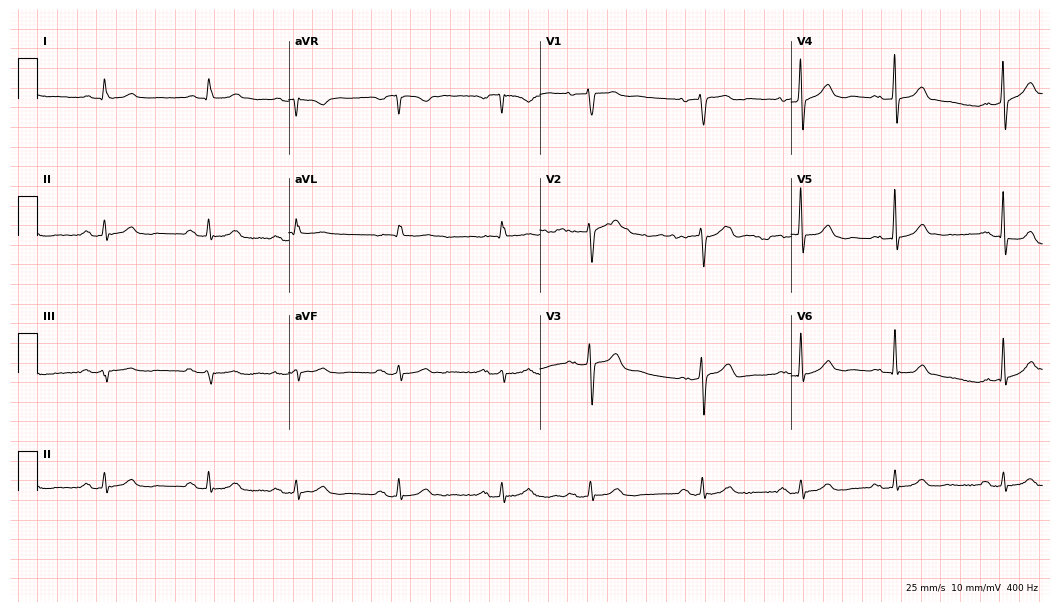
Resting 12-lead electrocardiogram. Patient: a male, 85 years old. None of these six findings is recorded: first-degree AV block, right bundle branch block, left bundle branch block, sinus bradycardia, atrial fibrillation, sinus tachycardia. Other findings, if any, are not listed.